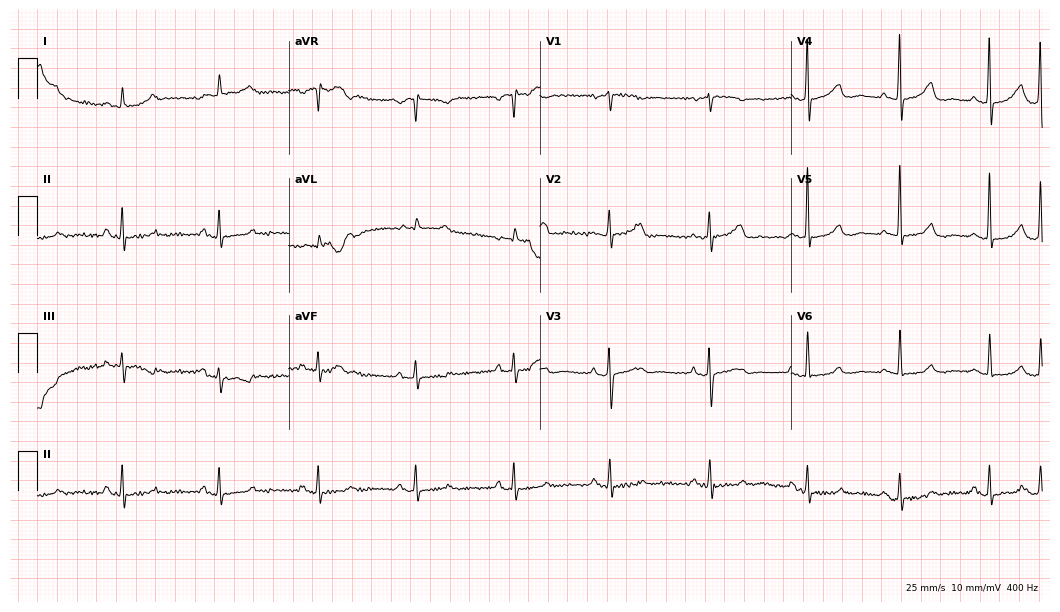
12-lead ECG from a female patient, 81 years old (10.2-second recording at 400 Hz). Recorded interpretation: within normal limits.